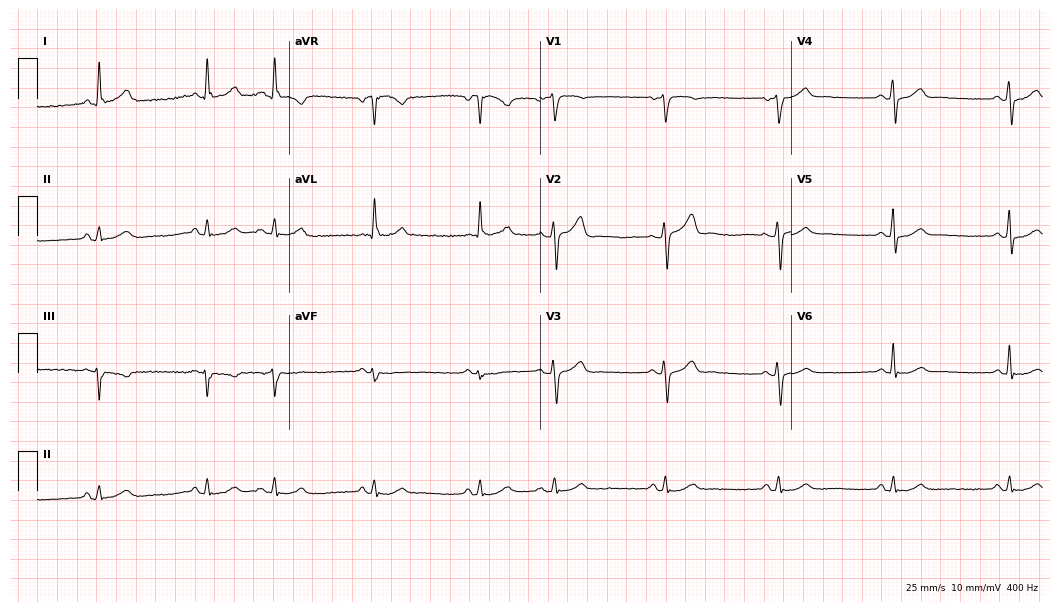
Resting 12-lead electrocardiogram. Patient: a male, 64 years old. None of these six findings is recorded: first-degree AV block, right bundle branch block (RBBB), left bundle branch block (LBBB), sinus bradycardia, atrial fibrillation (AF), sinus tachycardia.